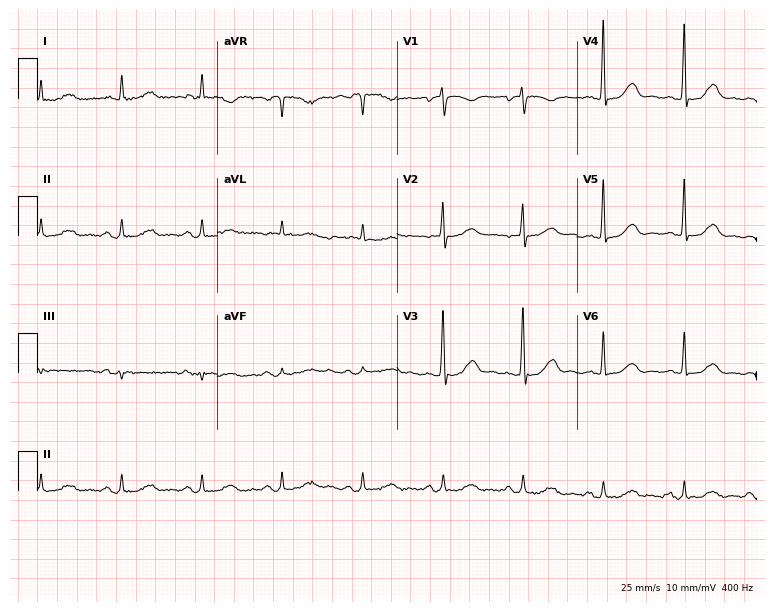
Standard 12-lead ECG recorded from a female patient, 80 years old (7.3-second recording at 400 Hz). None of these six findings is recorded: first-degree AV block, right bundle branch block (RBBB), left bundle branch block (LBBB), sinus bradycardia, atrial fibrillation (AF), sinus tachycardia. Other findings, if any, are not listed.